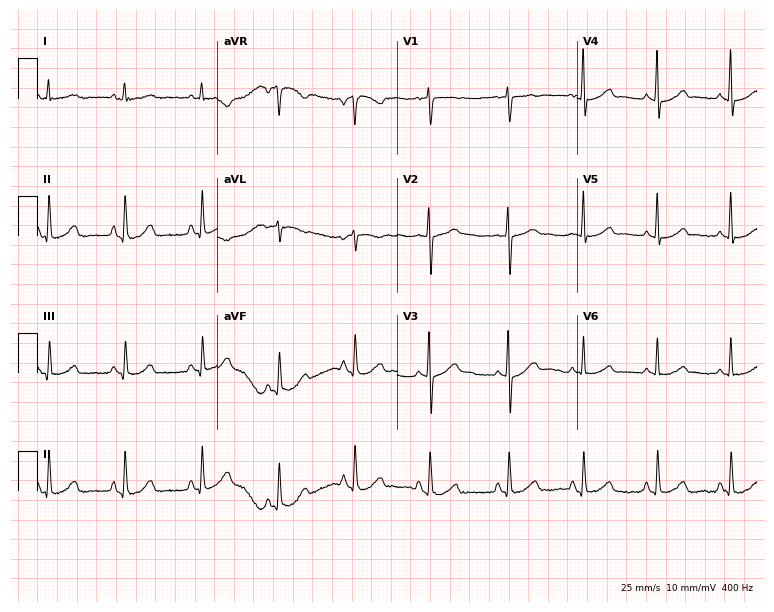
Electrocardiogram (7.3-second recording at 400 Hz), a 64-year-old female patient. Overall reading on record: normal ECG.